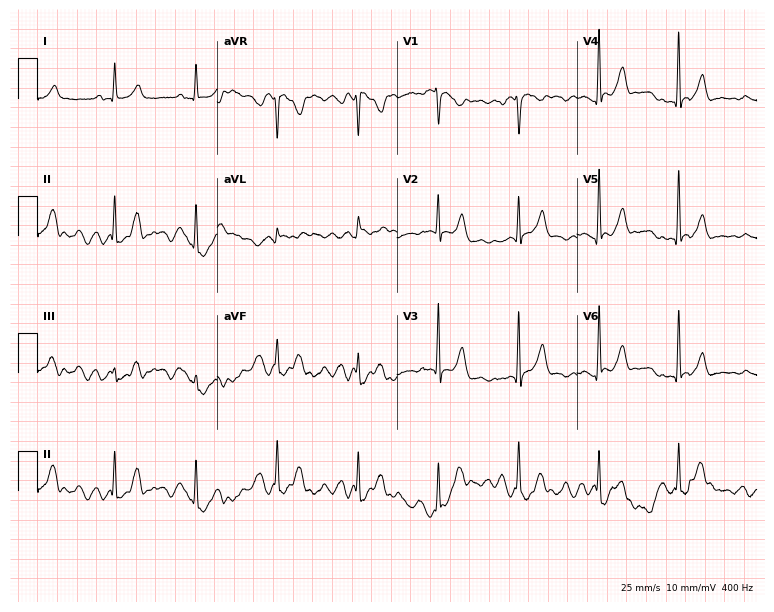
12-lead ECG from a 61-year-old male. No first-degree AV block, right bundle branch block, left bundle branch block, sinus bradycardia, atrial fibrillation or sinus tachycardia recorded for this tracing. Findings outside these six are not listed.